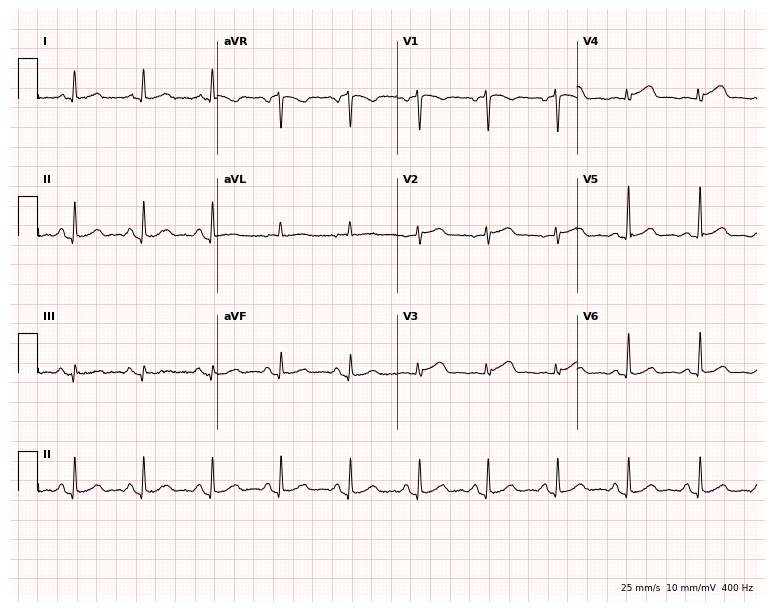
12-lead ECG from a 56-year-old woman. Recorded interpretation: within normal limits.